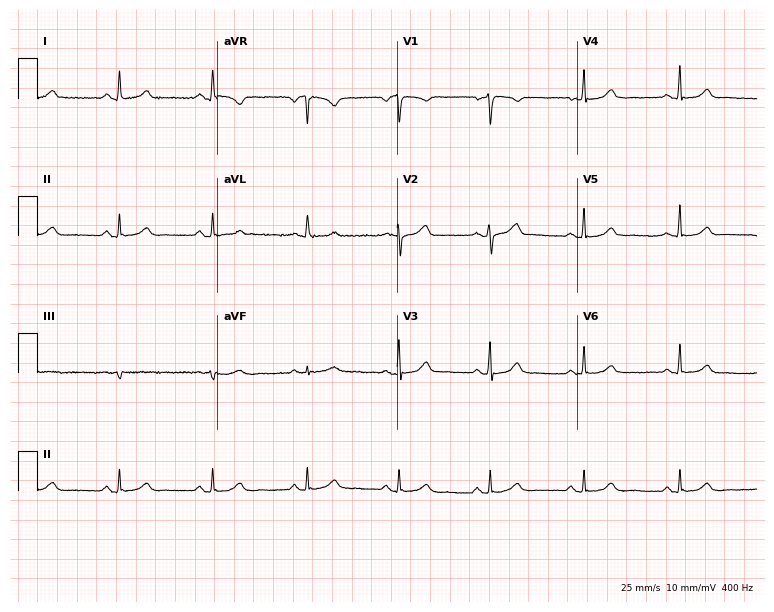
12-lead ECG from a female, 33 years old. Labelled as a normal ECG.